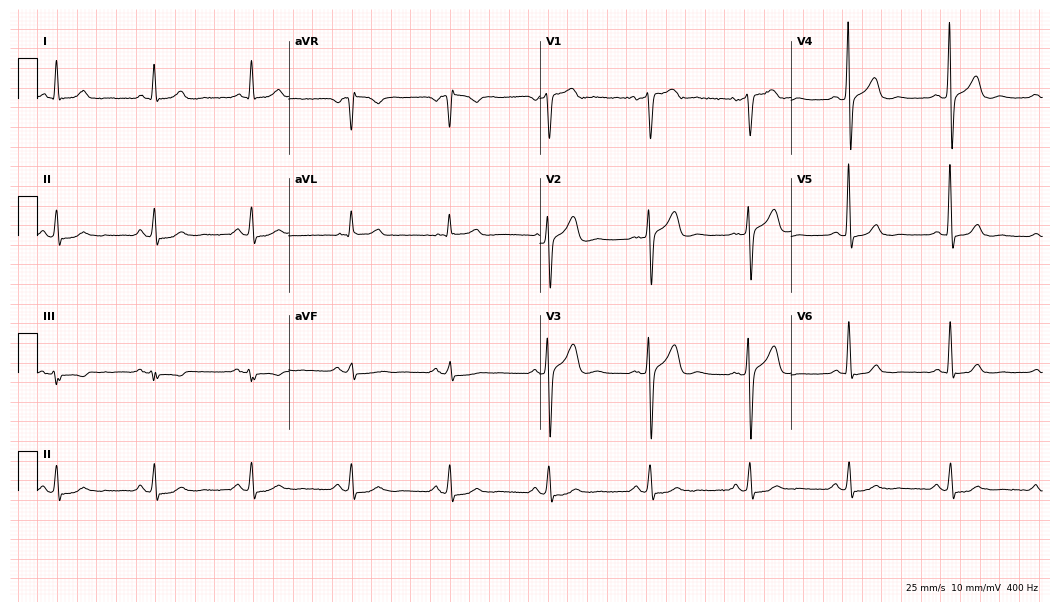
Electrocardiogram, a male, 58 years old. Overall reading on record: normal ECG.